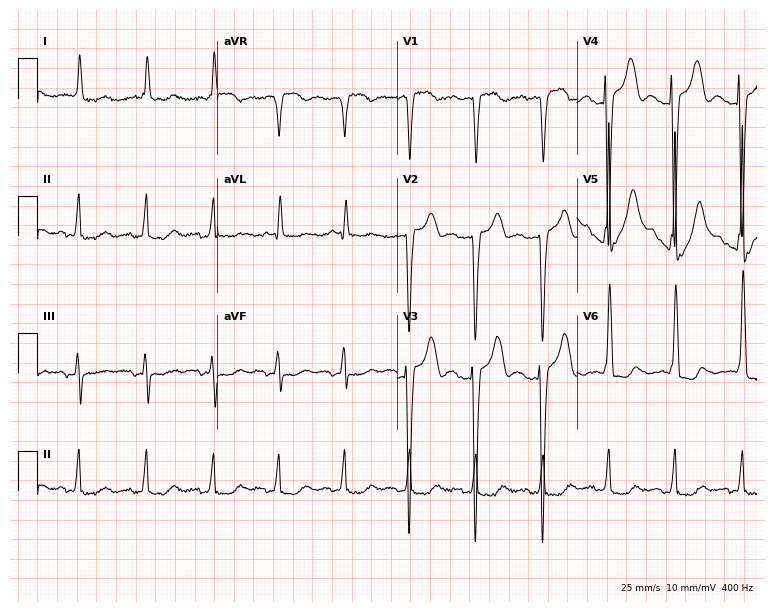
12-lead ECG (7.3-second recording at 400 Hz) from a female patient, 82 years old. Screened for six findings — first-degree AV block, right bundle branch block (RBBB), left bundle branch block (LBBB), sinus bradycardia, atrial fibrillation (AF), sinus tachycardia — none is recorded. Other findings, if any, are not listed.